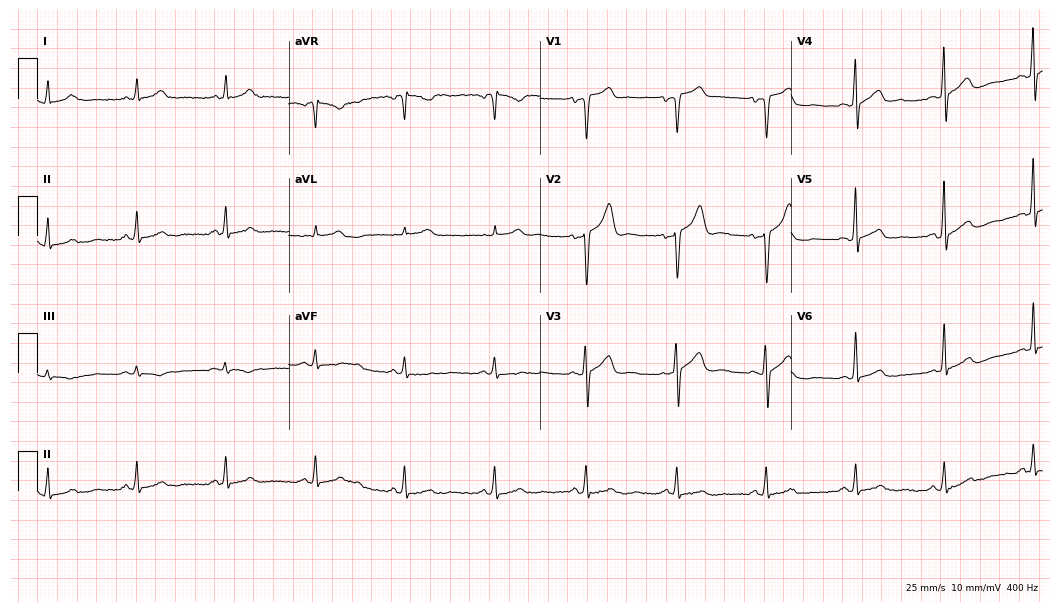
Electrocardiogram, a 47-year-old male. Overall reading on record: normal ECG.